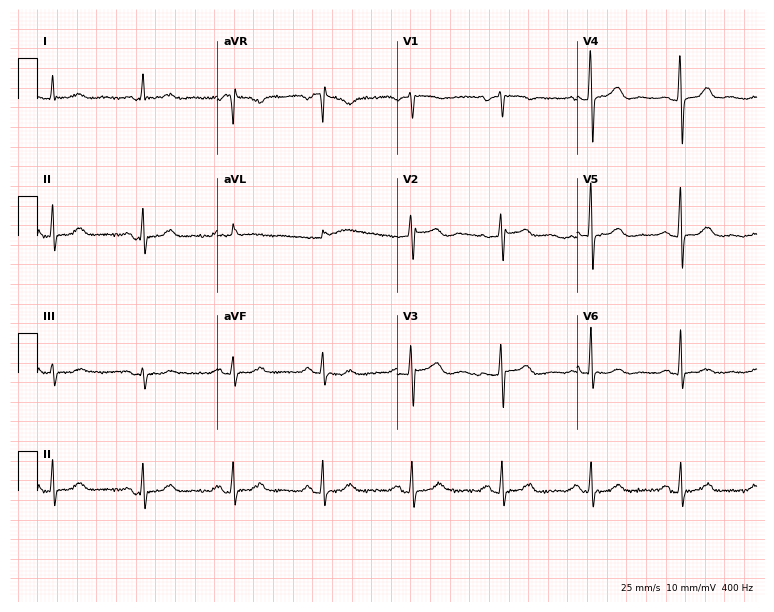
Electrocardiogram (7.3-second recording at 400 Hz), a 69-year-old female patient. Of the six screened findings (first-degree AV block, right bundle branch block, left bundle branch block, sinus bradycardia, atrial fibrillation, sinus tachycardia), none is recorded. Other findings, if any, are not listed.